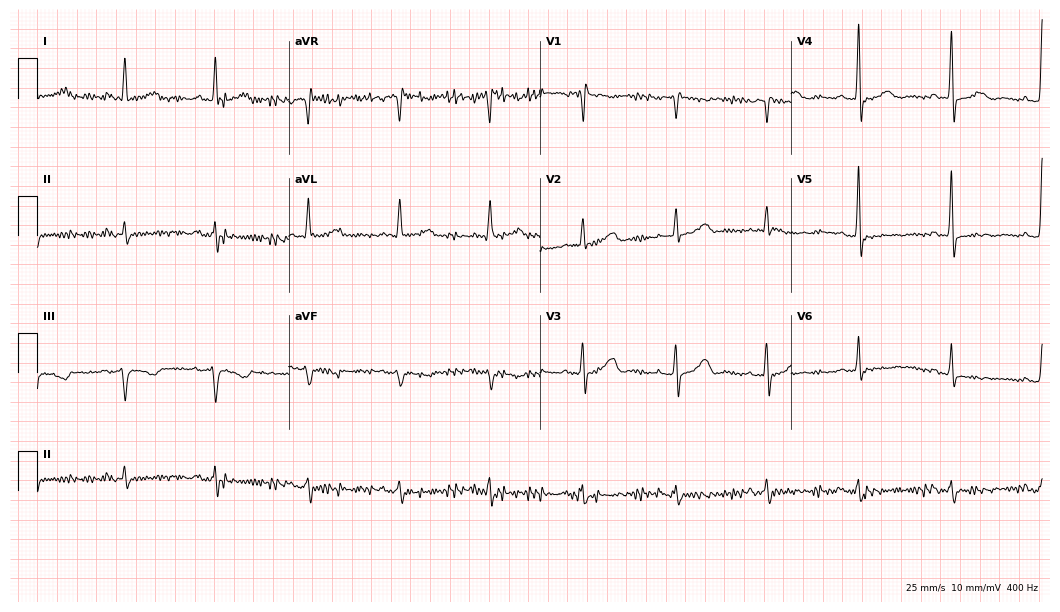
ECG (10.2-second recording at 400 Hz) — a woman, 70 years old. Screened for six findings — first-degree AV block, right bundle branch block (RBBB), left bundle branch block (LBBB), sinus bradycardia, atrial fibrillation (AF), sinus tachycardia — none is recorded.